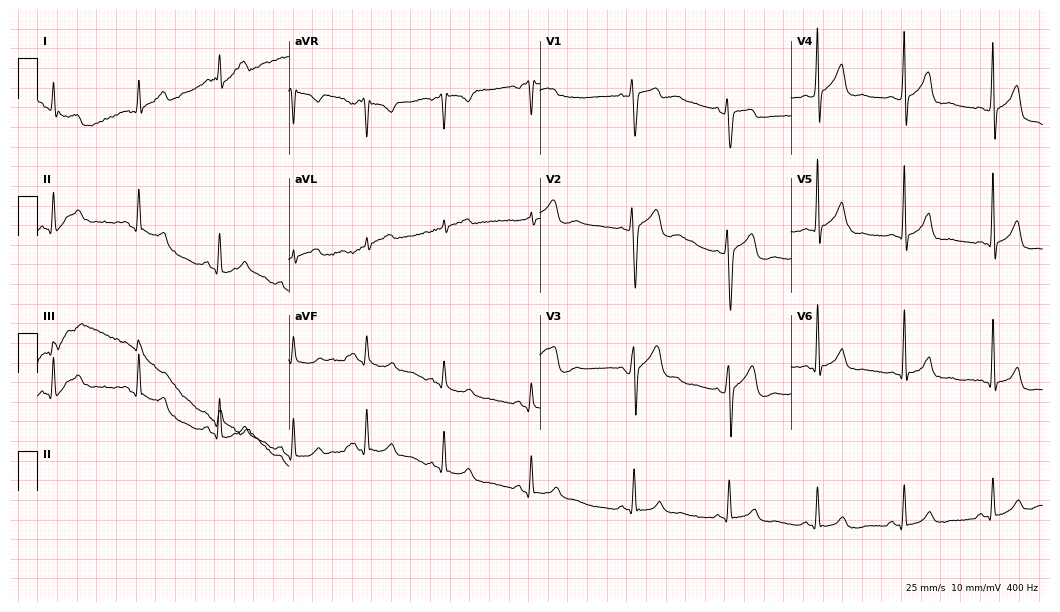
12-lead ECG from a 23-year-old man (10.2-second recording at 400 Hz). Recorded interpretation: within normal limits.